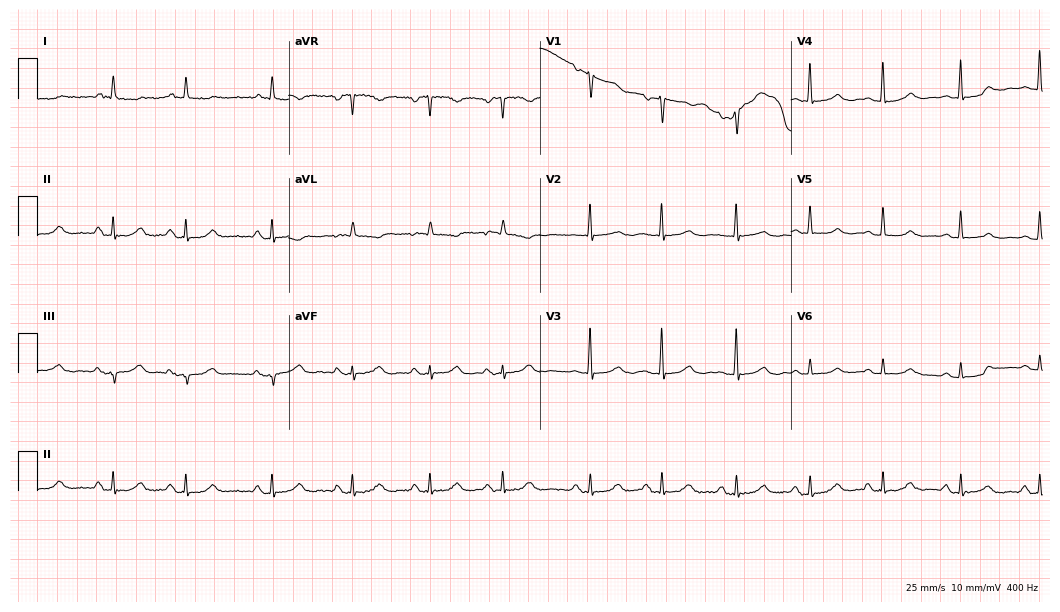
Resting 12-lead electrocardiogram (10.2-second recording at 400 Hz). Patient: an 83-year-old female. Read as a normal ECG.